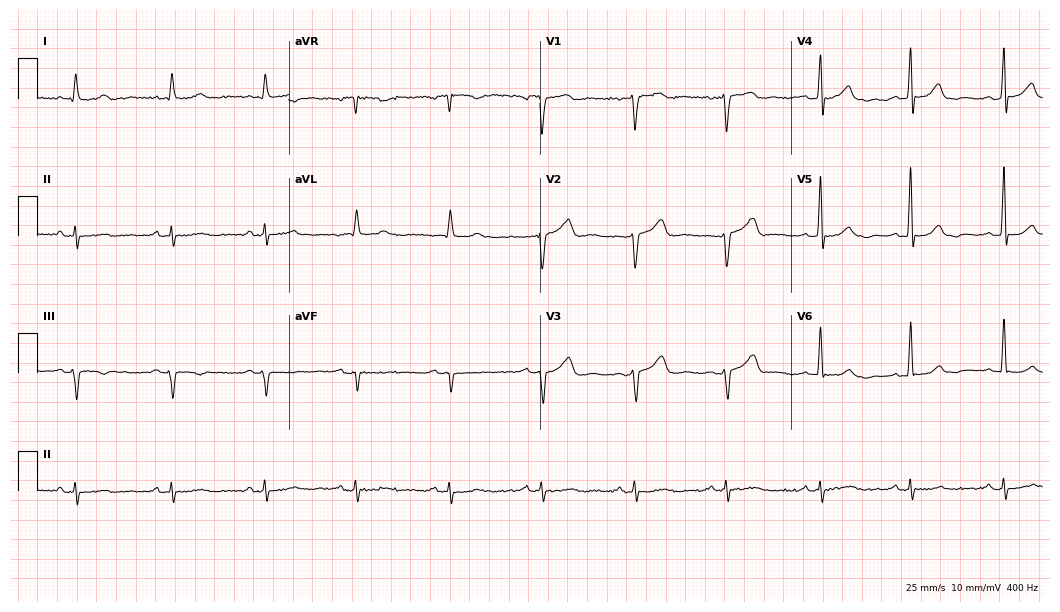
Resting 12-lead electrocardiogram (10.2-second recording at 400 Hz). Patient: a 66-year-old man. Read as a normal ECG.